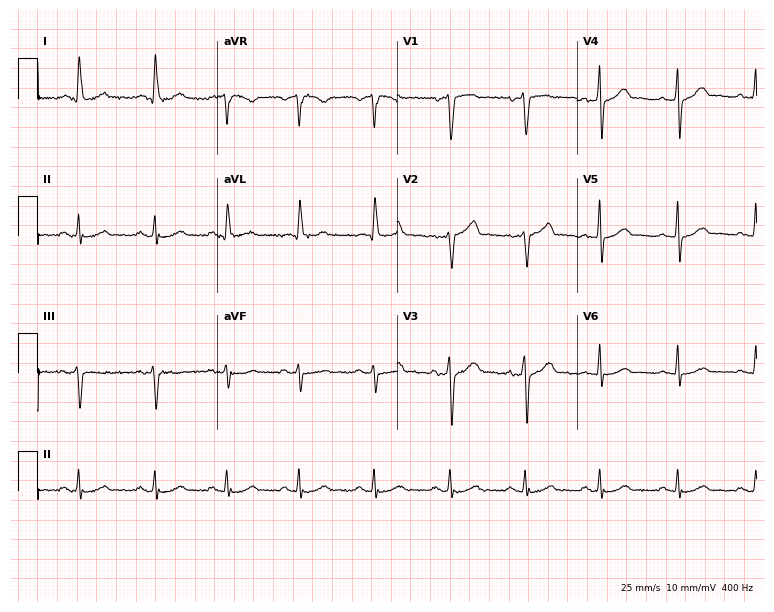
Resting 12-lead electrocardiogram. Patient: a male, 54 years old. Read as a normal ECG.